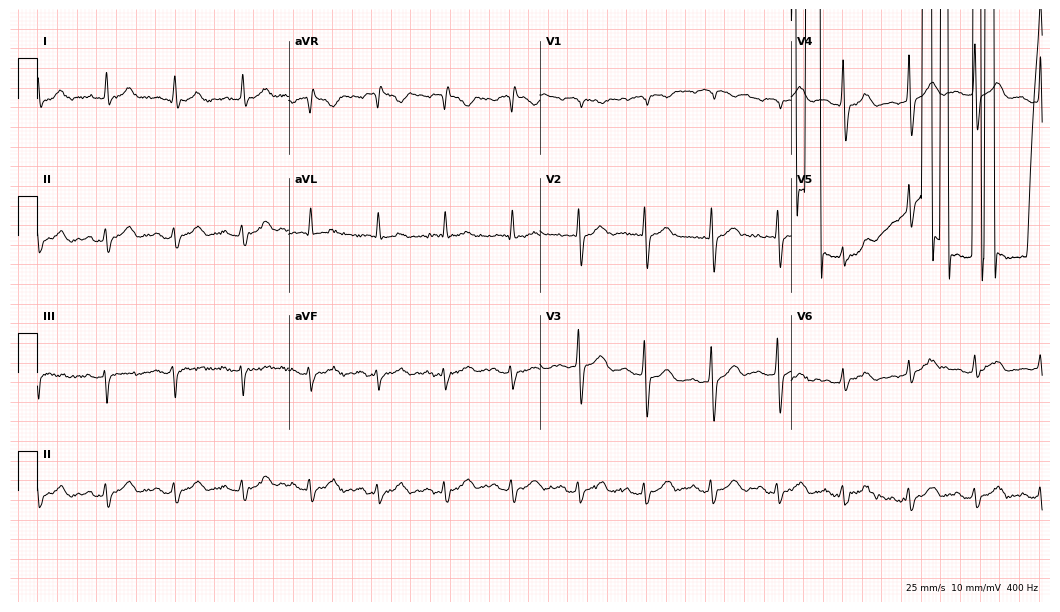
Electrocardiogram (10.2-second recording at 400 Hz), a 72-year-old male patient. Of the six screened findings (first-degree AV block, right bundle branch block, left bundle branch block, sinus bradycardia, atrial fibrillation, sinus tachycardia), none is recorded. Findings outside these six are not listed.